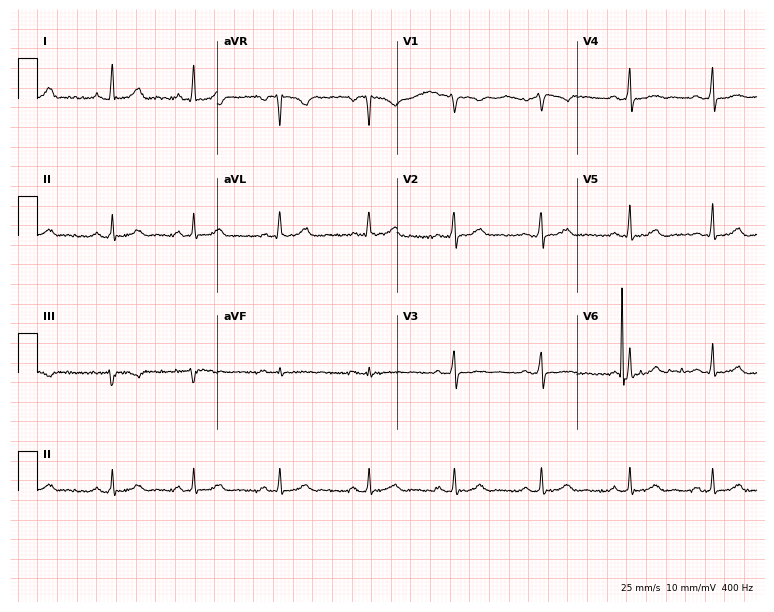
Electrocardiogram (7.3-second recording at 400 Hz), a female patient, 40 years old. Overall reading on record: normal ECG.